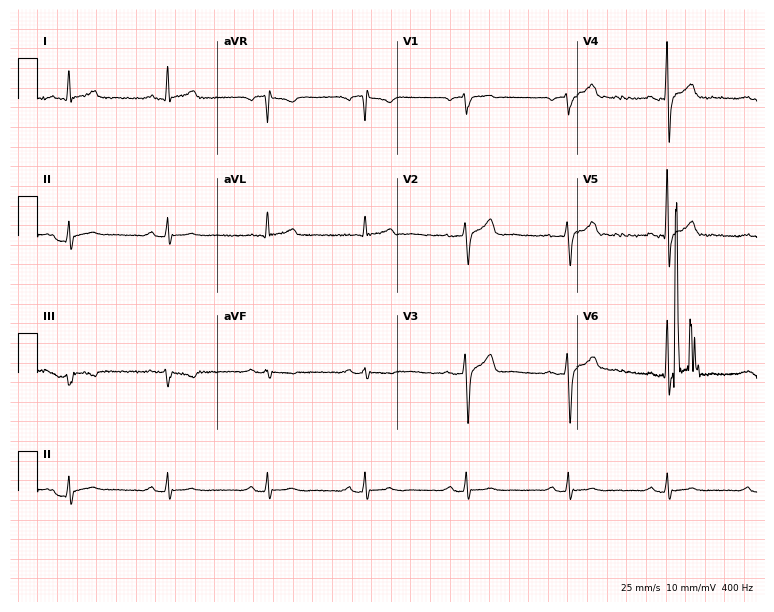
Resting 12-lead electrocardiogram (7.3-second recording at 400 Hz). Patient: a 48-year-old male. None of these six findings is recorded: first-degree AV block, right bundle branch block, left bundle branch block, sinus bradycardia, atrial fibrillation, sinus tachycardia. Findings outside these six are not listed.